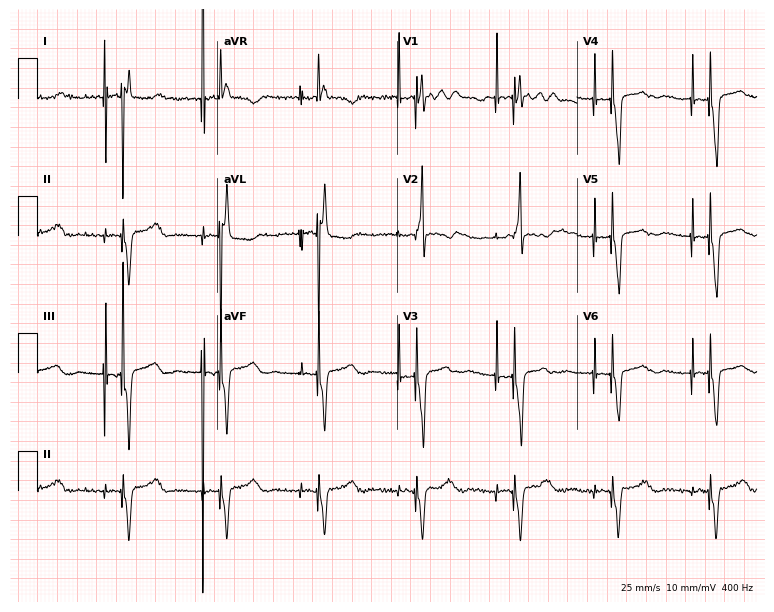
Electrocardiogram, a 78-year-old woman. Of the six screened findings (first-degree AV block, right bundle branch block, left bundle branch block, sinus bradycardia, atrial fibrillation, sinus tachycardia), none is recorded.